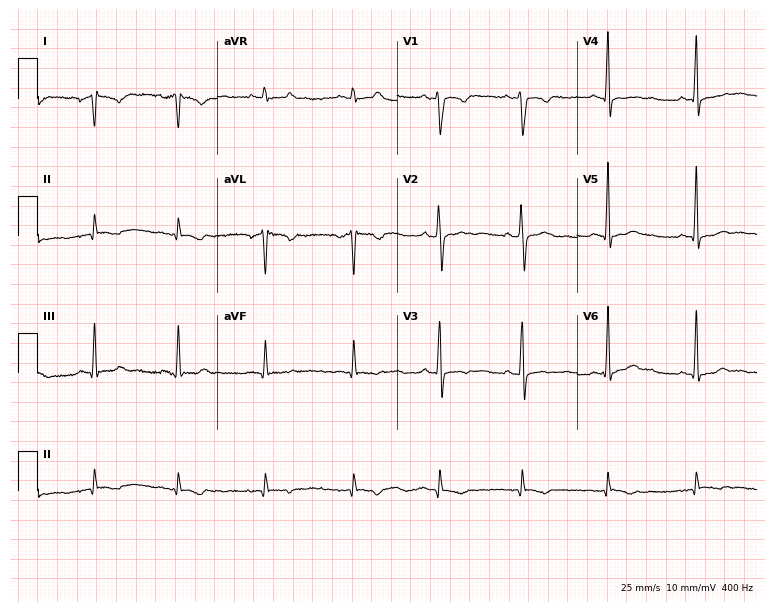
12-lead ECG (7.3-second recording at 400 Hz) from a woman, 70 years old. Screened for six findings — first-degree AV block, right bundle branch block (RBBB), left bundle branch block (LBBB), sinus bradycardia, atrial fibrillation (AF), sinus tachycardia — none is recorded. Only these six findings were labelled.